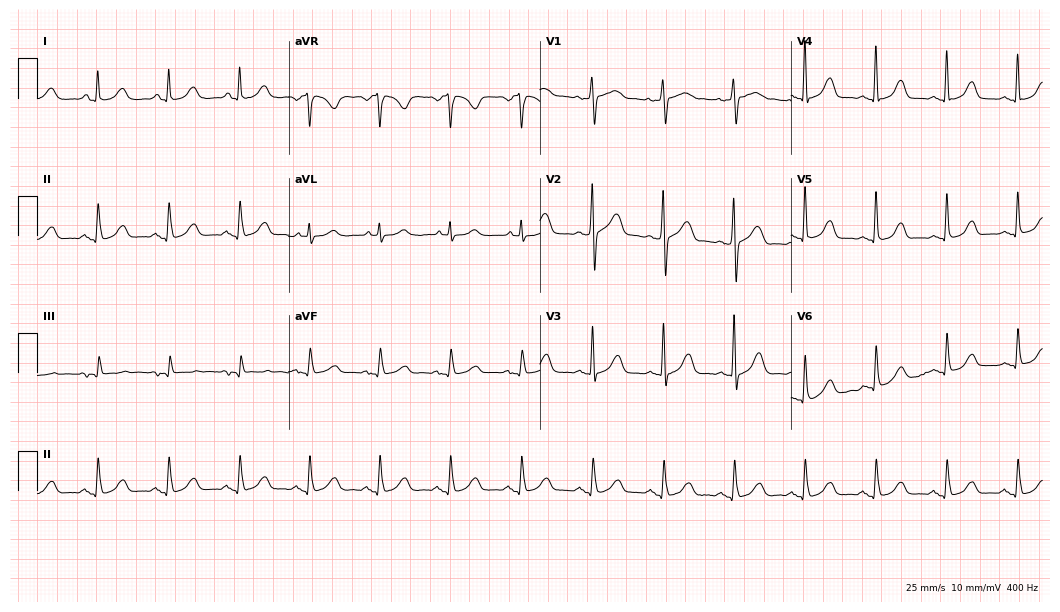
Electrocardiogram, a woman, 66 years old. Overall reading on record: normal ECG.